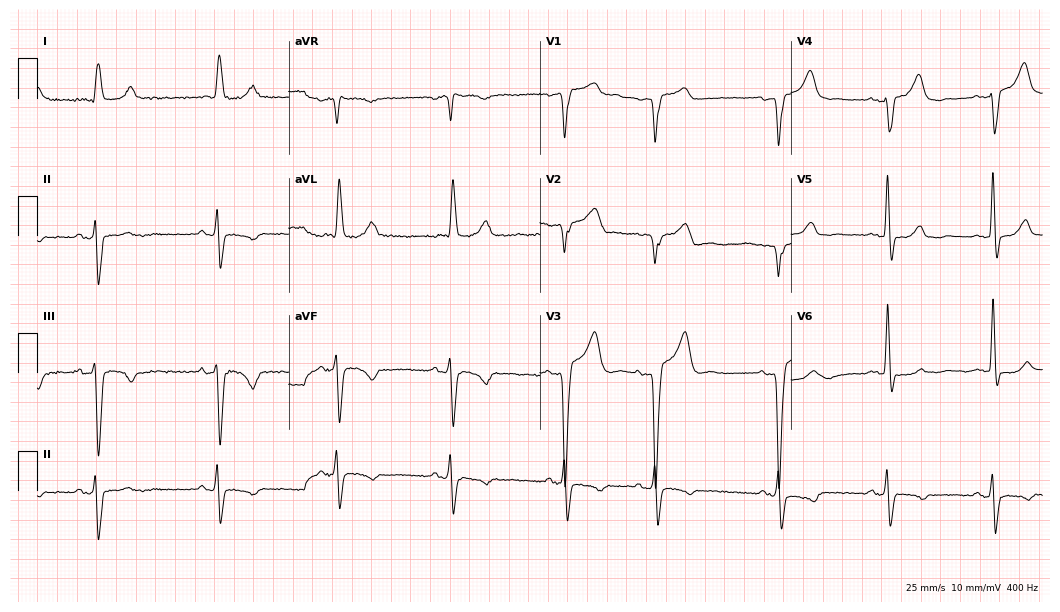
Electrocardiogram, an 80-year-old male. Of the six screened findings (first-degree AV block, right bundle branch block, left bundle branch block, sinus bradycardia, atrial fibrillation, sinus tachycardia), none is recorded.